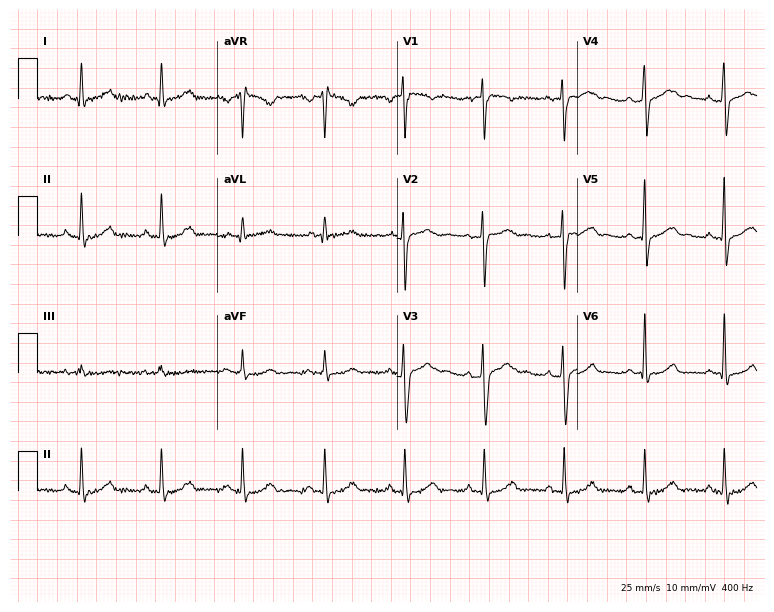
ECG (7.3-second recording at 400 Hz) — a woman, 42 years old. Labelled as a normal ECG.